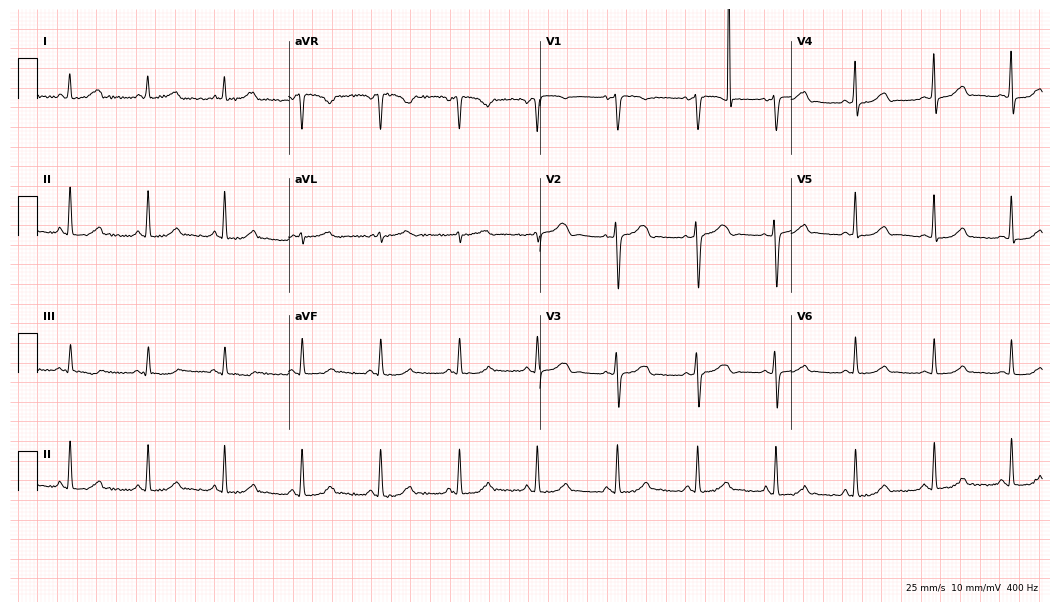
12-lead ECG from a 44-year-old female patient. No first-degree AV block, right bundle branch block, left bundle branch block, sinus bradycardia, atrial fibrillation or sinus tachycardia recorded for this tracing. Other findings, if any, are not listed.